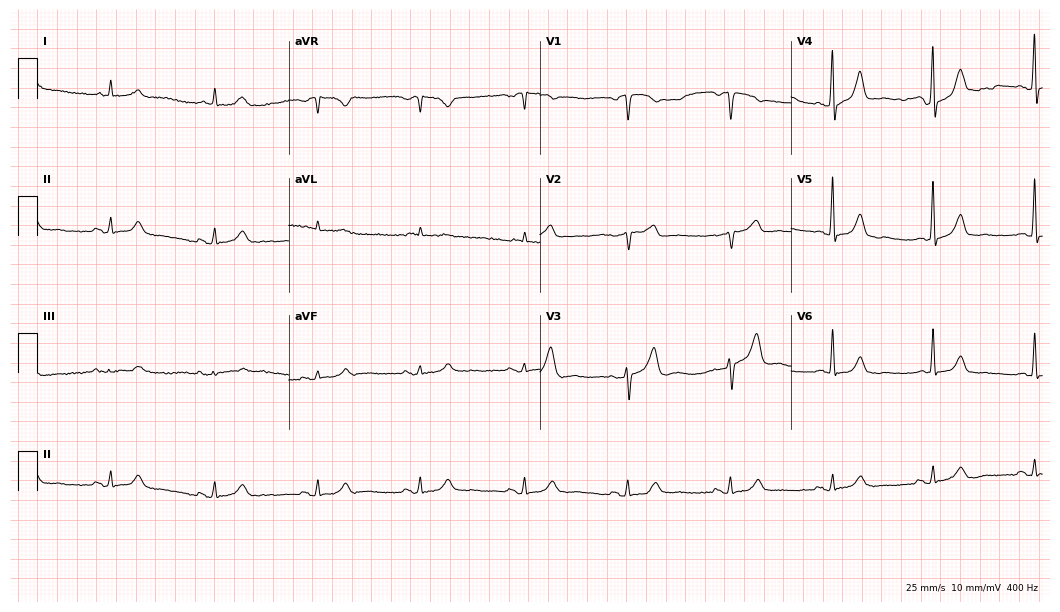
Electrocardiogram (10.2-second recording at 400 Hz), a male, 72 years old. Overall reading on record: normal ECG.